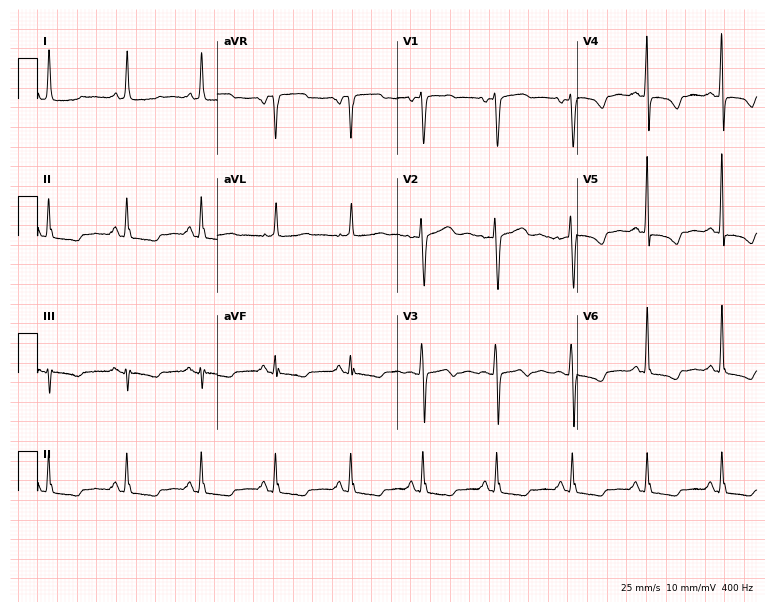
12-lead ECG from a female, 47 years old (7.3-second recording at 400 Hz). No first-degree AV block, right bundle branch block (RBBB), left bundle branch block (LBBB), sinus bradycardia, atrial fibrillation (AF) or sinus tachycardia recorded for this tracing. Other findings, if any, are not listed.